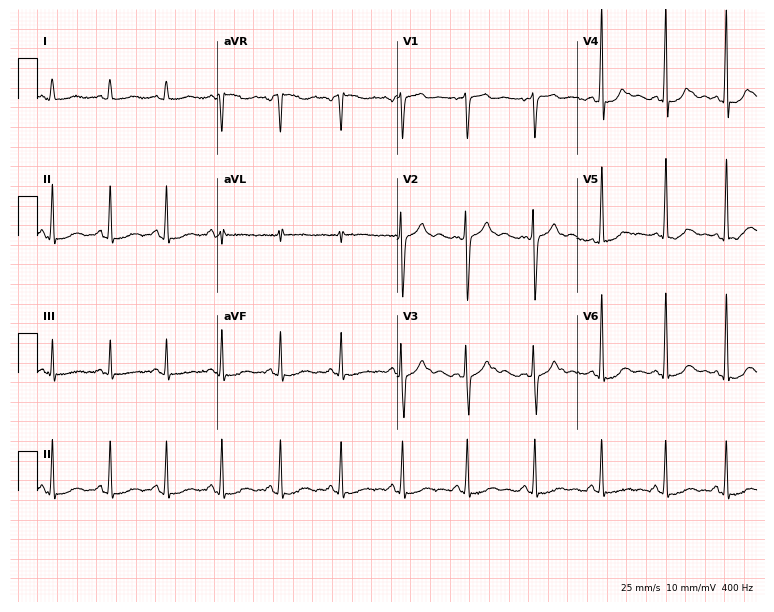
Resting 12-lead electrocardiogram. Patient: a 44-year-old woman. None of these six findings is recorded: first-degree AV block, right bundle branch block (RBBB), left bundle branch block (LBBB), sinus bradycardia, atrial fibrillation (AF), sinus tachycardia. Other findings, if any, are not listed.